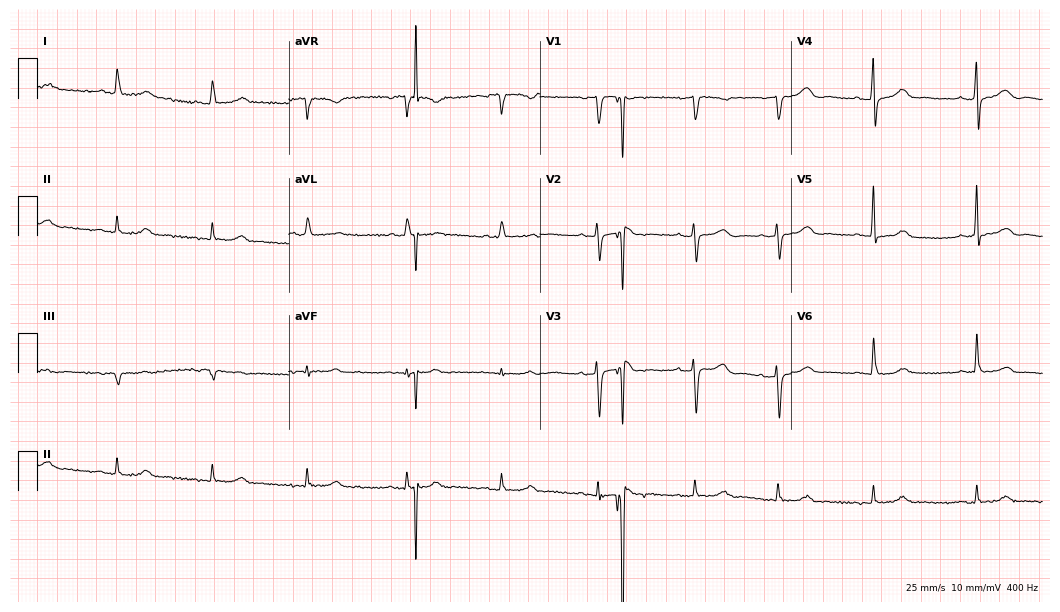
Resting 12-lead electrocardiogram (10.2-second recording at 400 Hz). Patient: a female, 74 years old. None of these six findings is recorded: first-degree AV block, right bundle branch block (RBBB), left bundle branch block (LBBB), sinus bradycardia, atrial fibrillation (AF), sinus tachycardia.